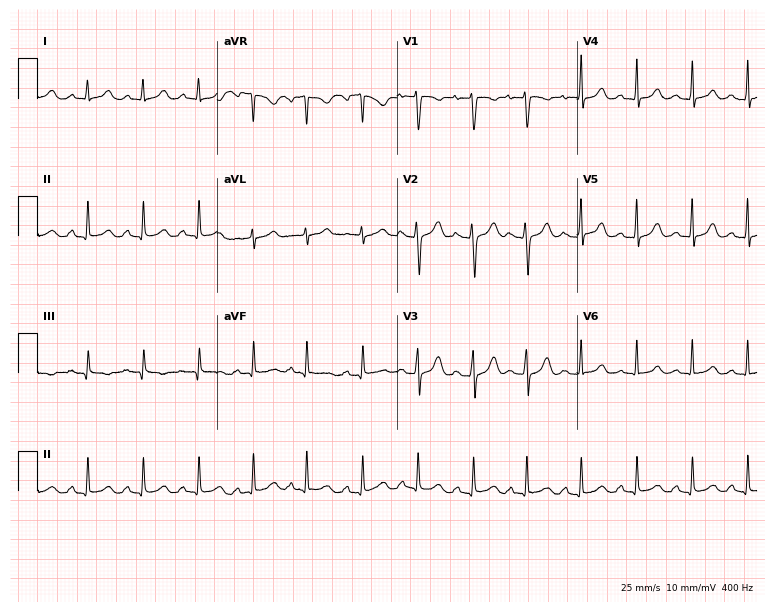
12-lead ECG from a female patient, 28 years old. Findings include sinus tachycardia (a sinus rate of 100 beats per minute or more).